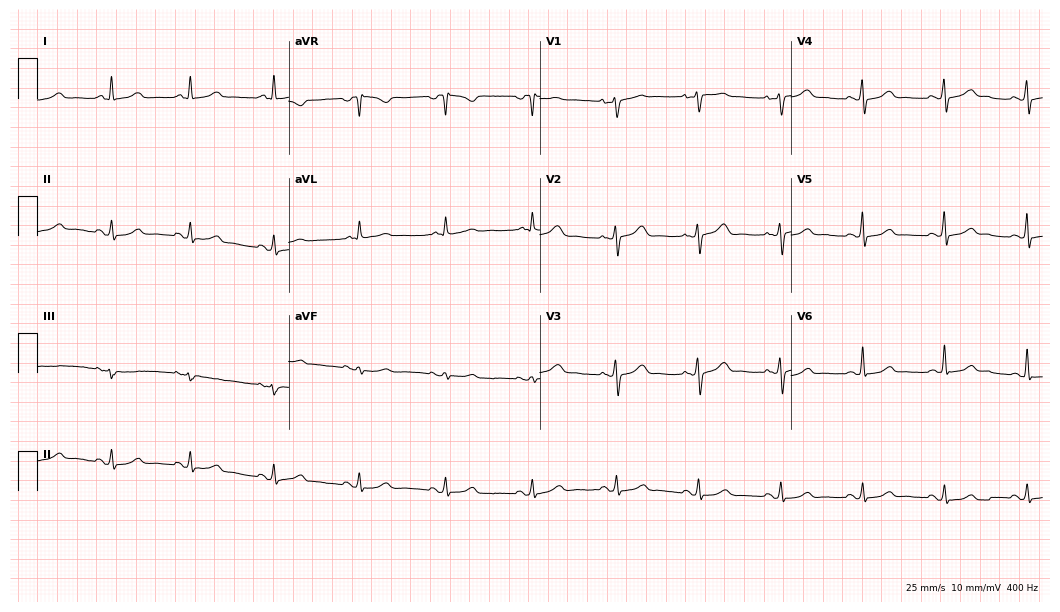
Electrocardiogram (10.2-second recording at 400 Hz), a 49-year-old female. Overall reading on record: normal ECG.